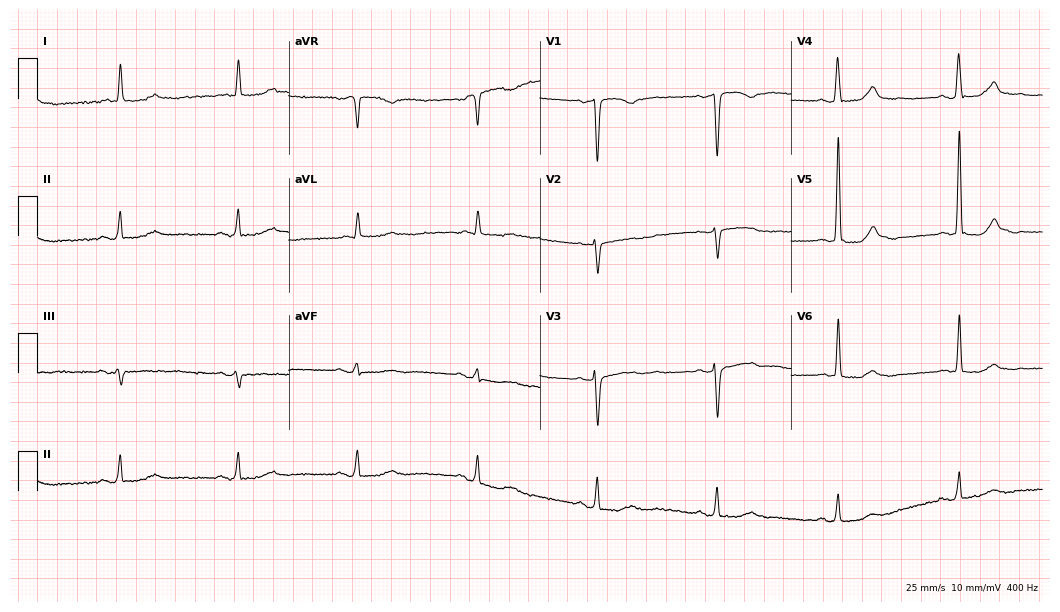
ECG — a woman, 69 years old. Findings include sinus bradycardia (a sinus rate of 50 beats per minute or less).